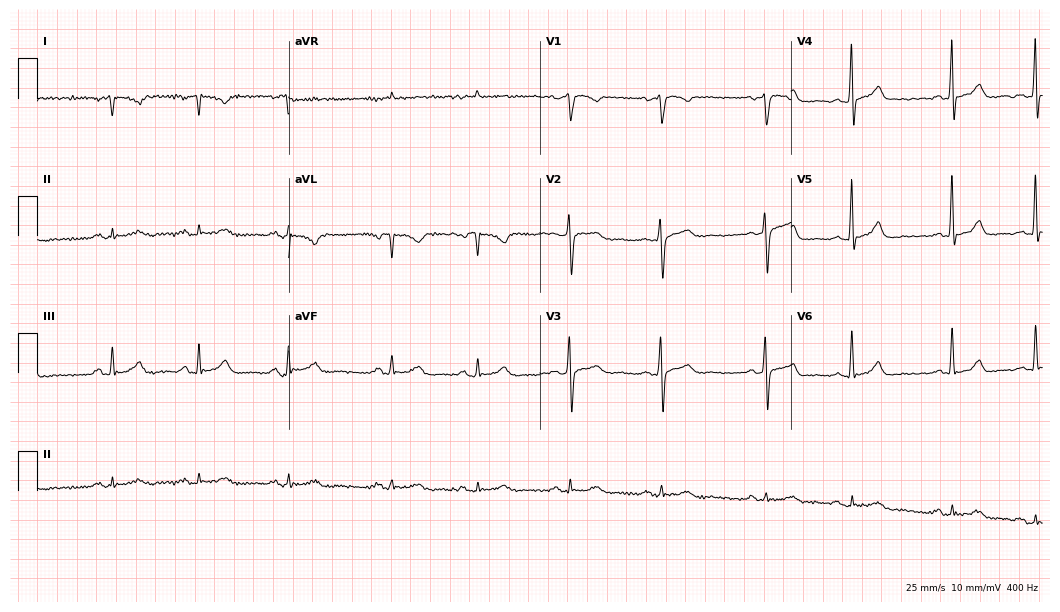
12-lead ECG (10.2-second recording at 400 Hz) from a 62-year-old woman. Screened for six findings — first-degree AV block, right bundle branch block, left bundle branch block, sinus bradycardia, atrial fibrillation, sinus tachycardia — none is recorded. Only these six findings were labelled.